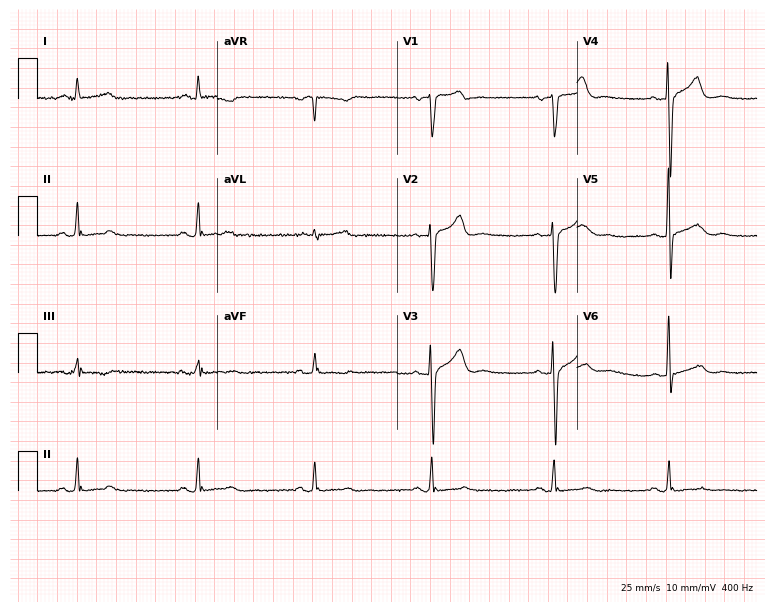
Standard 12-lead ECG recorded from a male patient, 67 years old (7.3-second recording at 400 Hz). None of these six findings is recorded: first-degree AV block, right bundle branch block, left bundle branch block, sinus bradycardia, atrial fibrillation, sinus tachycardia.